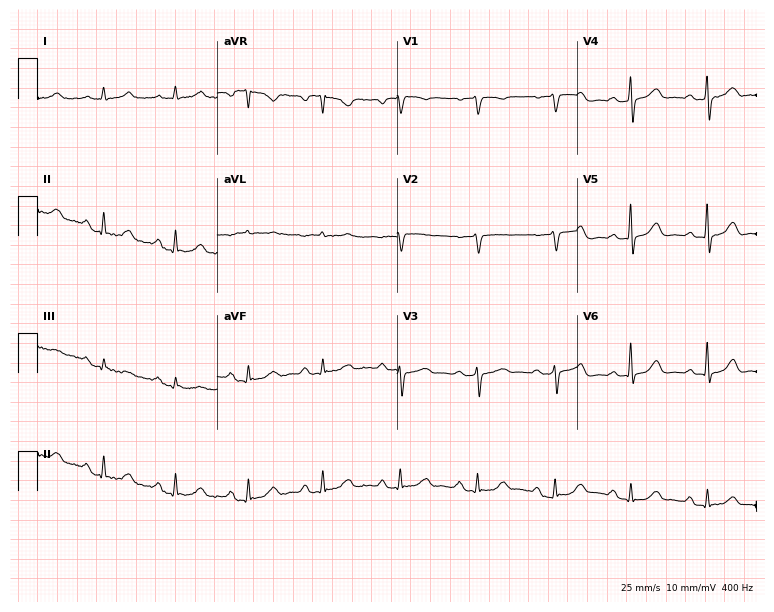
Standard 12-lead ECG recorded from a female, 71 years old. None of these six findings is recorded: first-degree AV block, right bundle branch block, left bundle branch block, sinus bradycardia, atrial fibrillation, sinus tachycardia.